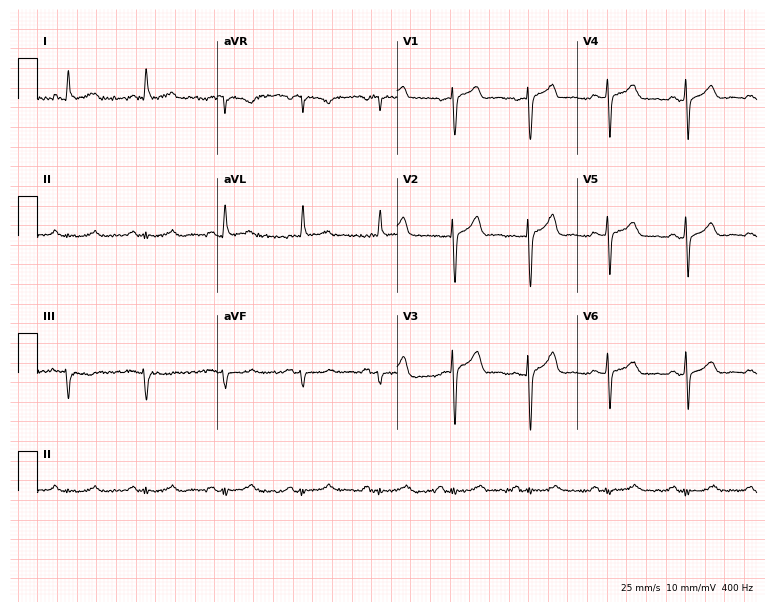
12-lead ECG (7.3-second recording at 400 Hz) from a 73-year-old man. Screened for six findings — first-degree AV block, right bundle branch block, left bundle branch block, sinus bradycardia, atrial fibrillation, sinus tachycardia — none is recorded. Only these six findings were labelled.